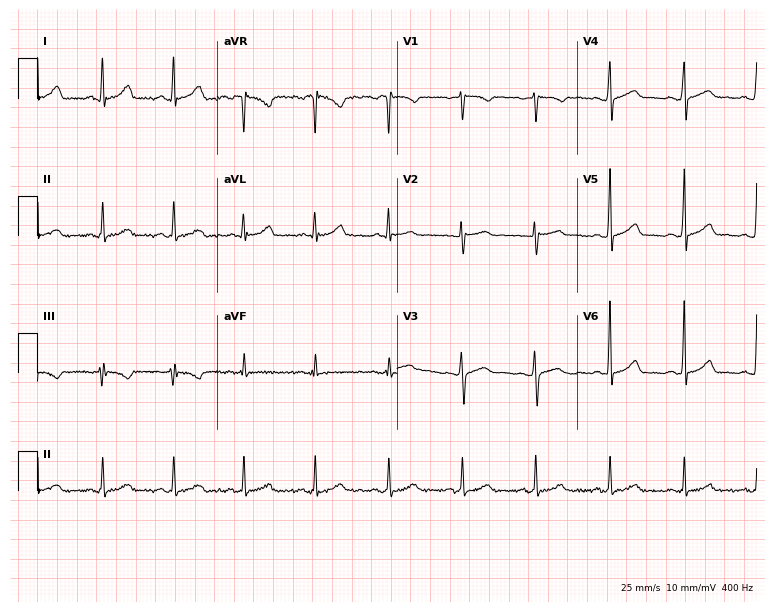
Electrocardiogram, a 36-year-old female. Overall reading on record: normal ECG.